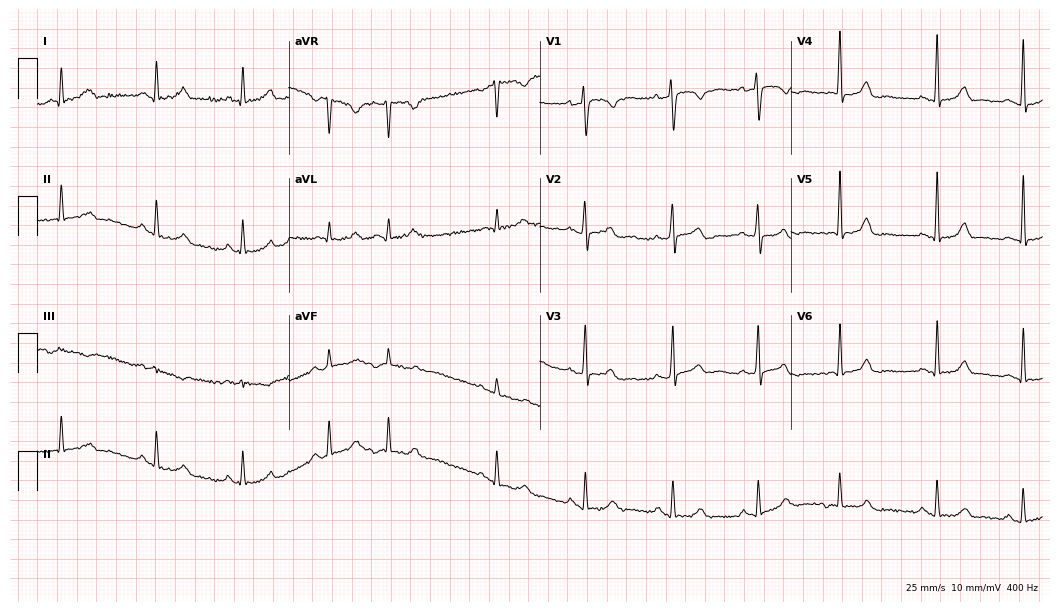
12-lead ECG from a female patient, 35 years old. Labelled as a normal ECG.